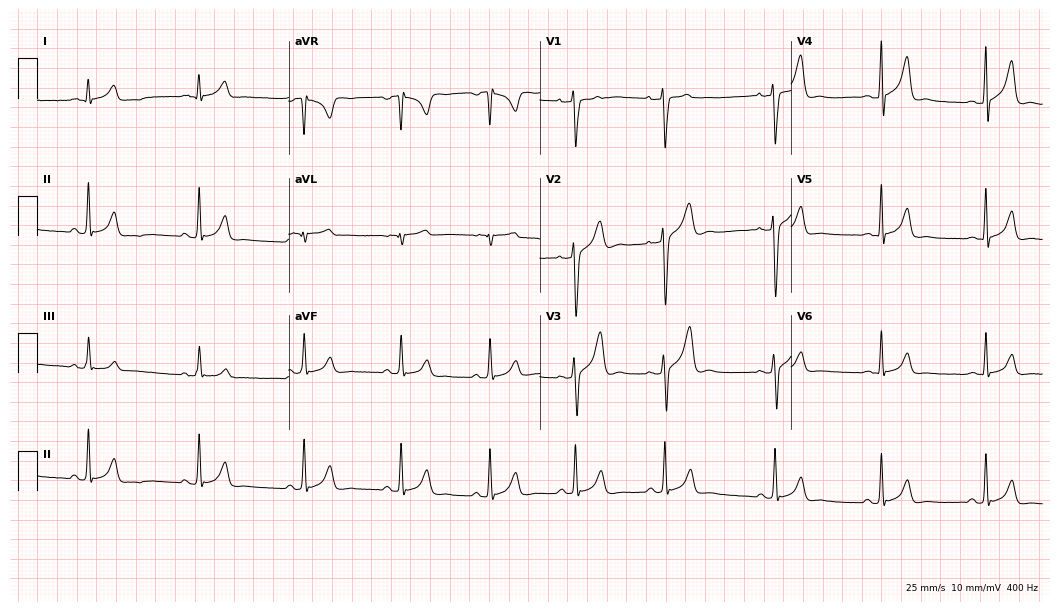
Electrocardiogram, a 31-year-old male patient. Of the six screened findings (first-degree AV block, right bundle branch block, left bundle branch block, sinus bradycardia, atrial fibrillation, sinus tachycardia), none is recorded. Other findings, if any, are not listed.